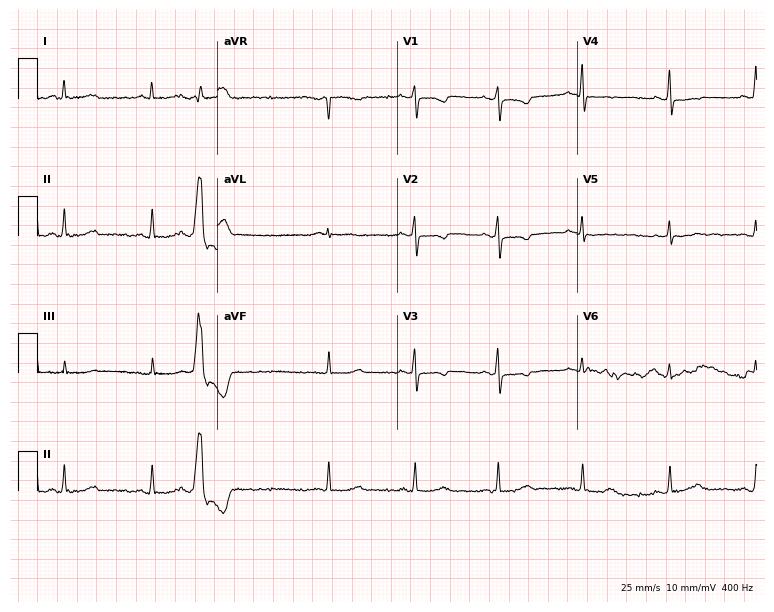
Electrocardiogram, a 64-year-old female. Of the six screened findings (first-degree AV block, right bundle branch block, left bundle branch block, sinus bradycardia, atrial fibrillation, sinus tachycardia), none is recorded. Findings outside these six are not listed.